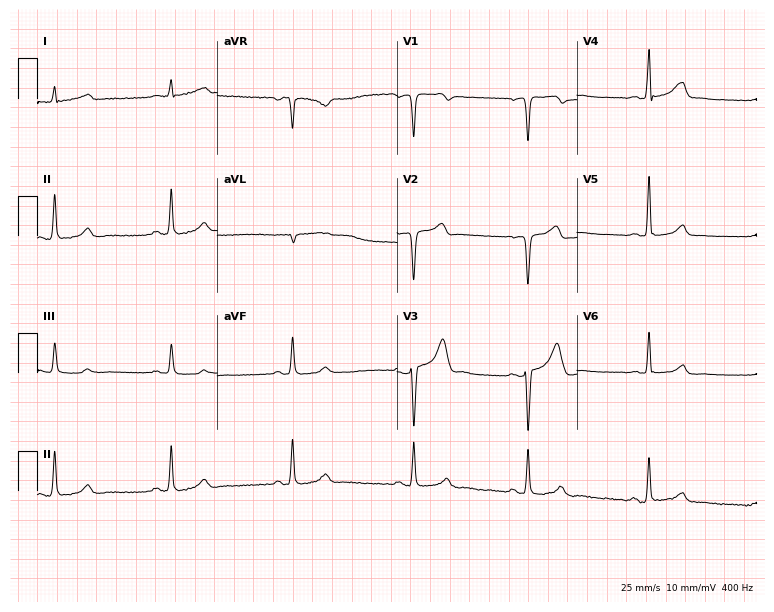
12-lead ECG from a 38-year-old male patient. No first-degree AV block, right bundle branch block (RBBB), left bundle branch block (LBBB), sinus bradycardia, atrial fibrillation (AF) or sinus tachycardia recorded for this tracing.